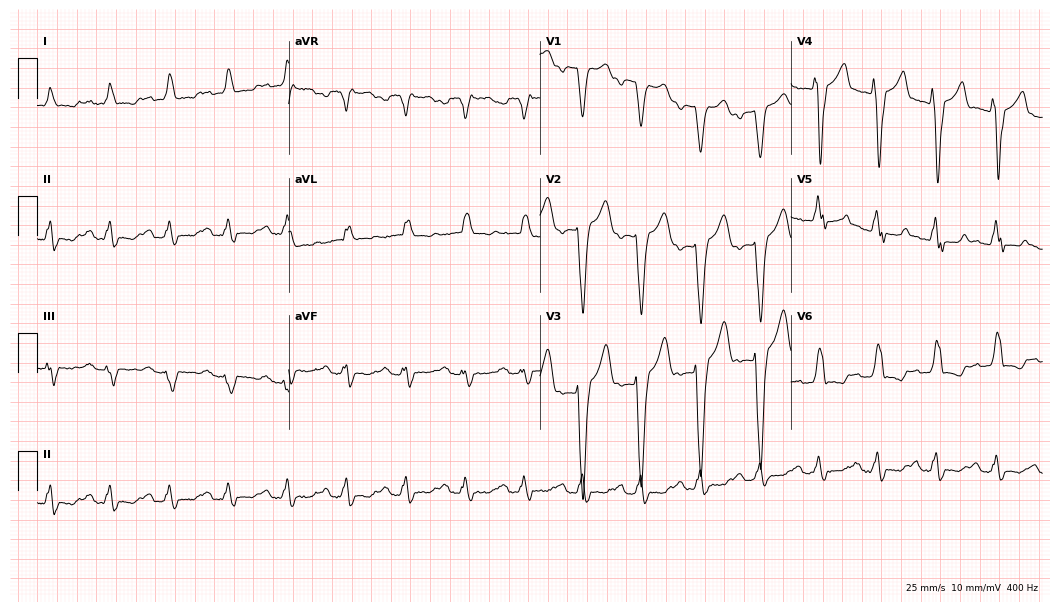
Resting 12-lead electrocardiogram. Patient: a female, 65 years old. The tracing shows left bundle branch block.